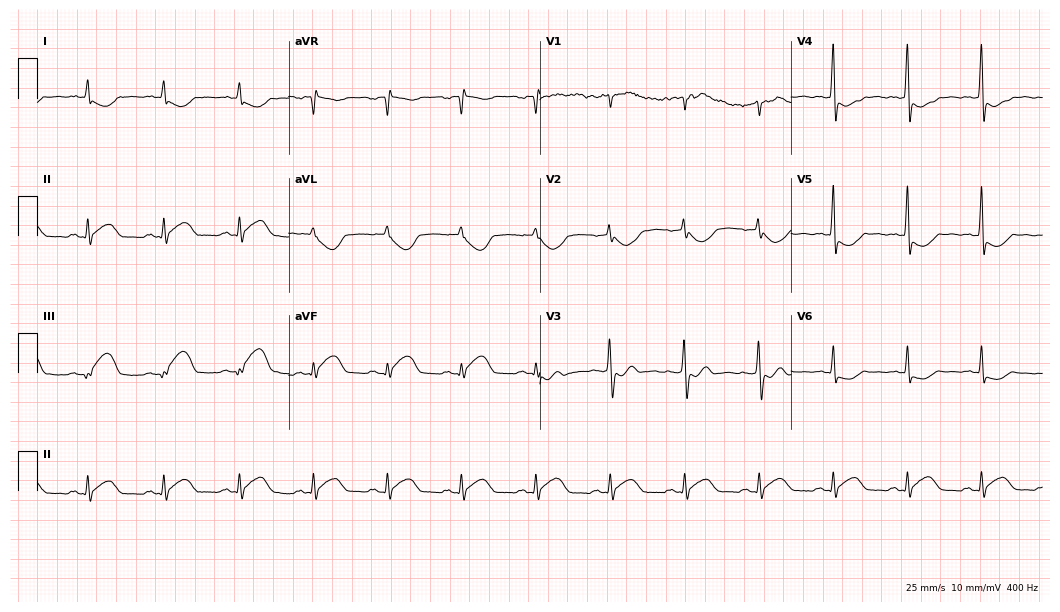
Resting 12-lead electrocardiogram (10.2-second recording at 400 Hz). Patient: a male, 58 years old. None of these six findings is recorded: first-degree AV block, right bundle branch block, left bundle branch block, sinus bradycardia, atrial fibrillation, sinus tachycardia. Findings outside these six are not listed.